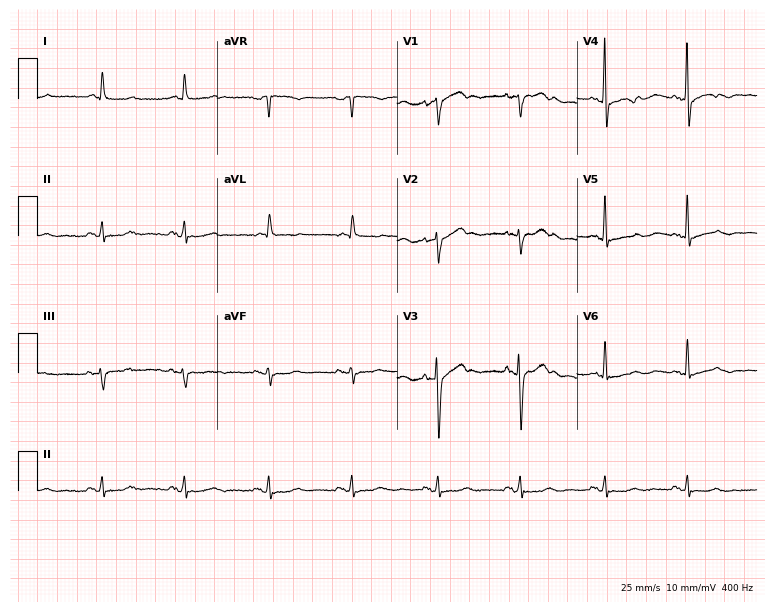
12-lead ECG from a female, 79 years old. Screened for six findings — first-degree AV block, right bundle branch block, left bundle branch block, sinus bradycardia, atrial fibrillation, sinus tachycardia — none is recorded. Findings outside these six are not listed.